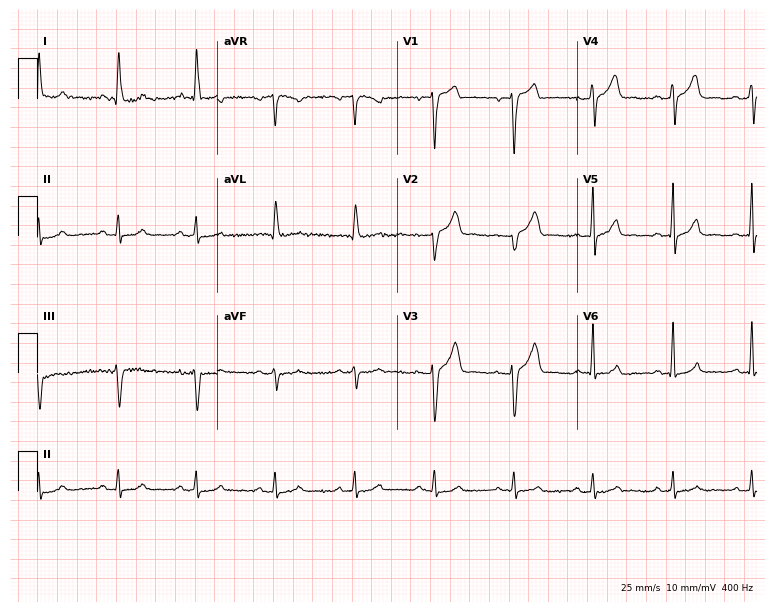
Standard 12-lead ECG recorded from a man, 68 years old (7.3-second recording at 400 Hz). None of these six findings is recorded: first-degree AV block, right bundle branch block, left bundle branch block, sinus bradycardia, atrial fibrillation, sinus tachycardia.